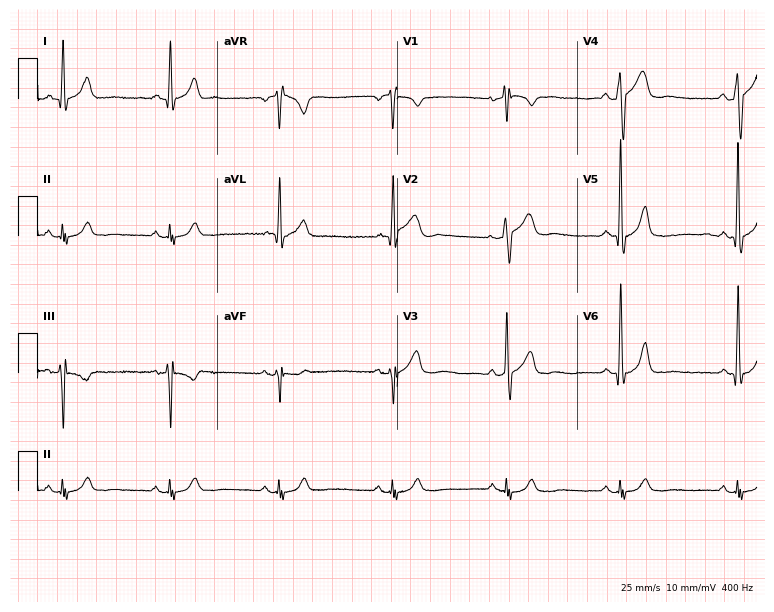
Electrocardiogram, a male patient, 65 years old. Overall reading on record: normal ECG.